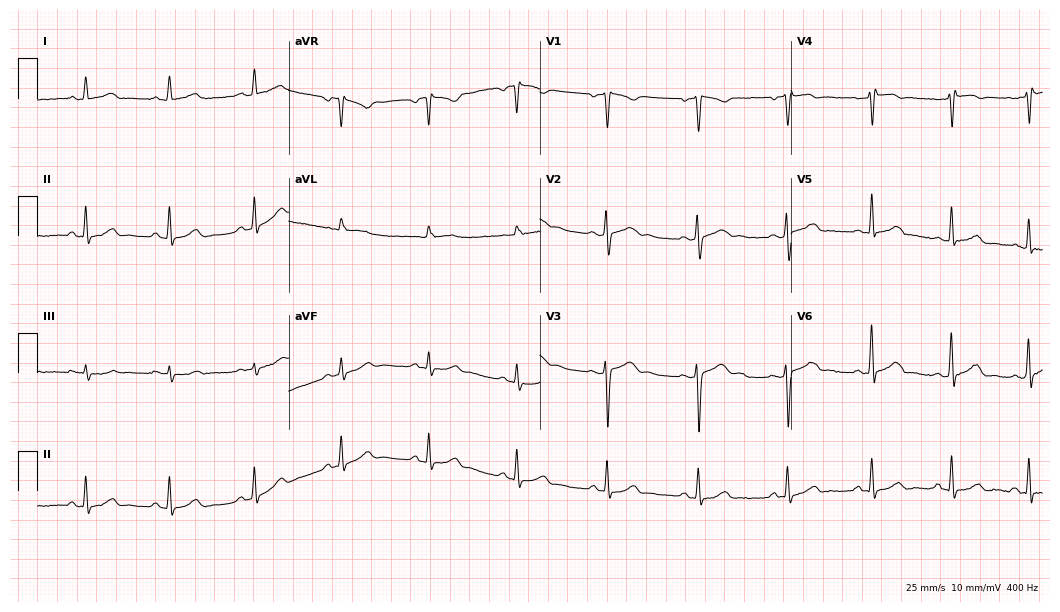
12-lead ECG from a 40-year-old man. No first-degree AV block, right bundle branch block, left bundle branch block, sinus bradycardia, atrial fibrillation or sinus tachycardia recorded for this tracing.